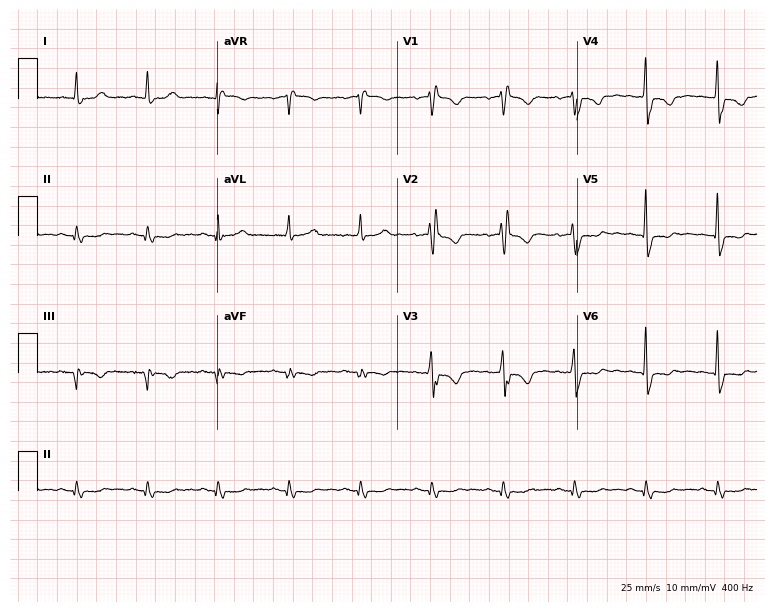
12-lead ECG from a male patient, 75 years old. No first-degree AV block, right bundle branch block, left bundle branch block, sinus bradycardia, atrial fibrillation or sinus tachycardia recorded for this tracing.